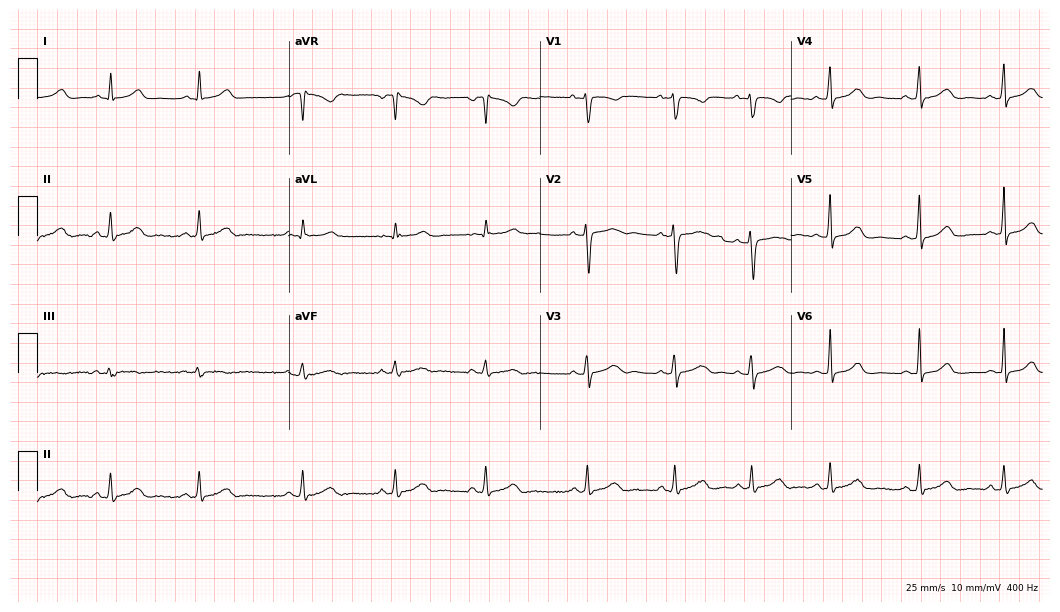
12-lead ECG (10.2-second recording at 400 Hz) from a woman, 23 years old. Labelled as a normal ECG.